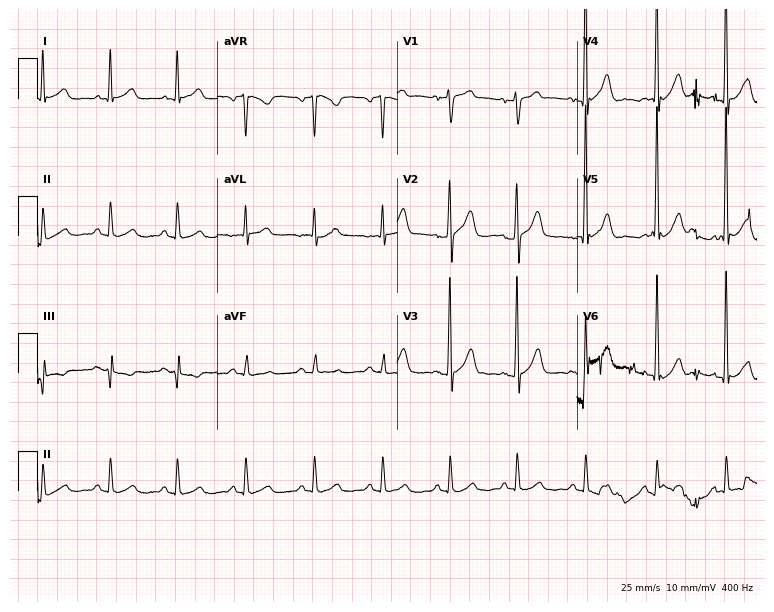
12-lead ECG from a male patient, 67 years old. Labelled as a normal ECG.